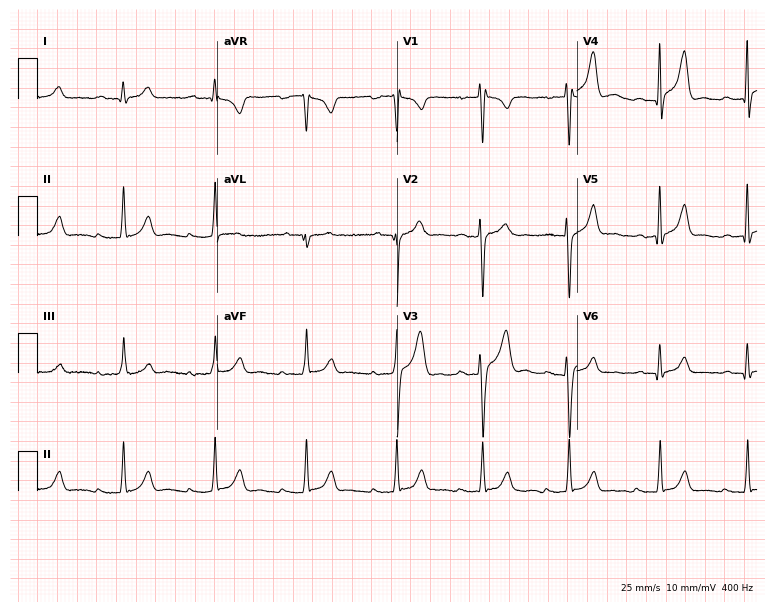
Resting 12-lead electrocardiogram (7.3-second recording at 400 Hz). Patient: a male, 31 years old. None of these six findings is recorded: first-degree AV block, right bundle branch block (RBBB), left bundle branch block (LBBB), sinus bradycardia, atrial fibrillation (AF), sinus tachycardia.